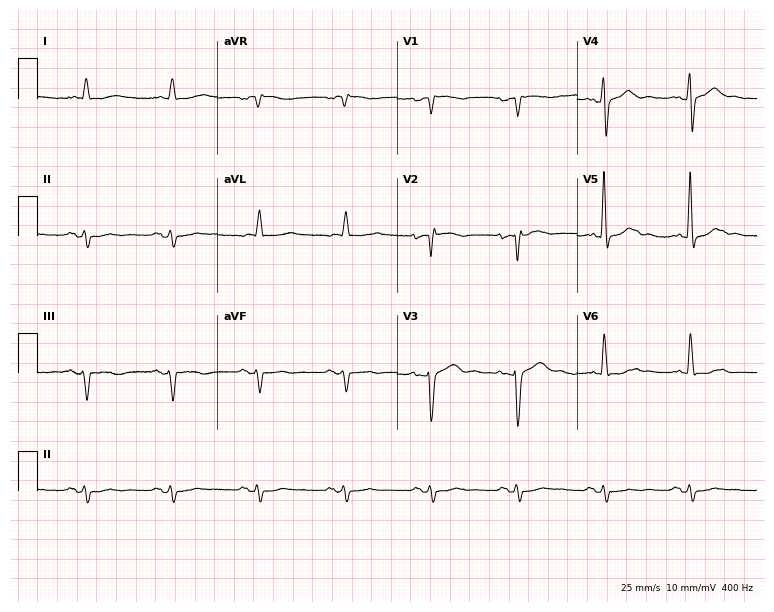
ECG — an 80-year-old male patient. Screened for six findings — first-degree AV block, right bundle branch block, left bundle branch block, sinus bradycardia, atrial fibrillation, sinus tachycardia — none is recorded.